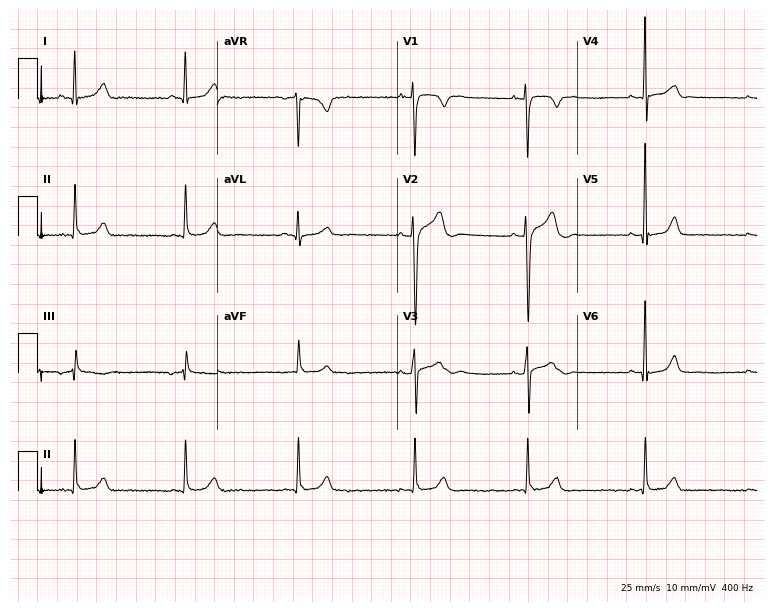
12-lead ECG from a male, 40 years old. Labelled as a normal ECG.